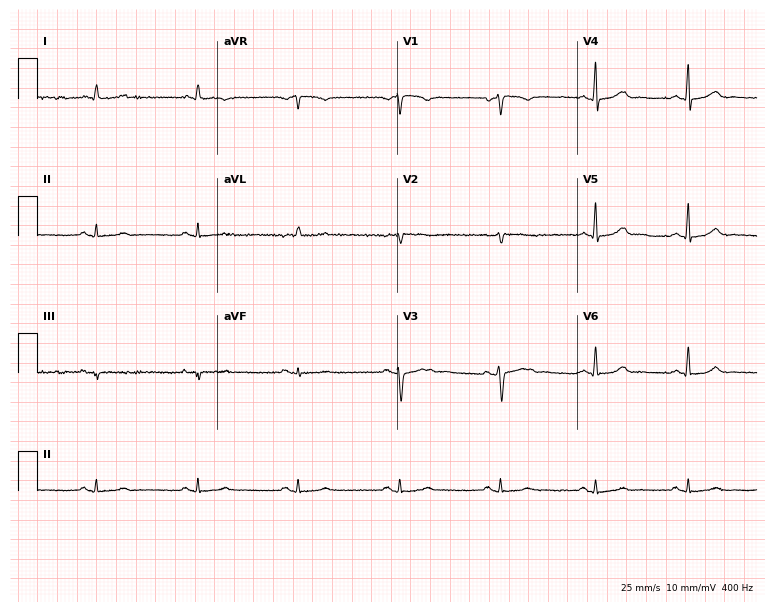
ECG — a 30-year-old female patient. Labelled as a normal ECG.